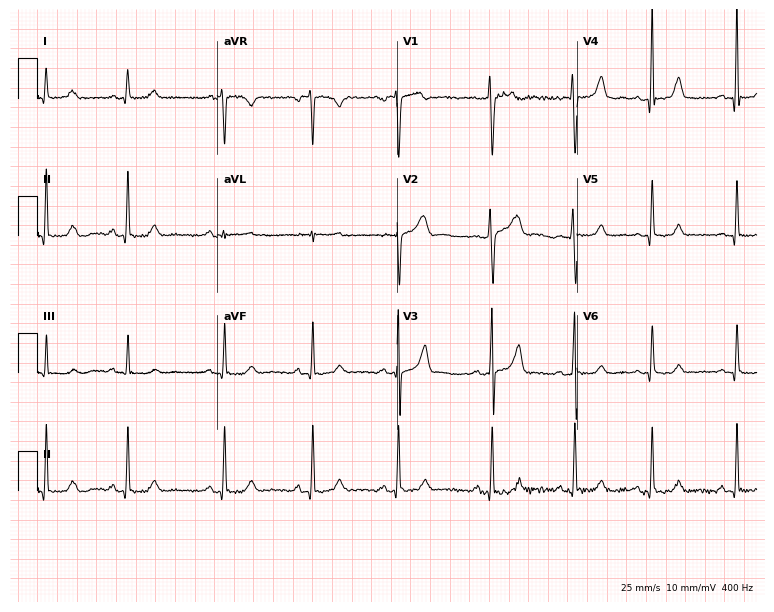
12-lead ECG from a 27-year-old female patient. No first-degree AV block, right bundle branch block, left bundle branch block, sinus bradycardia, atrial fibrillation or sinus tachycardia recorded for this tracing. Findings outside these six are not listed.